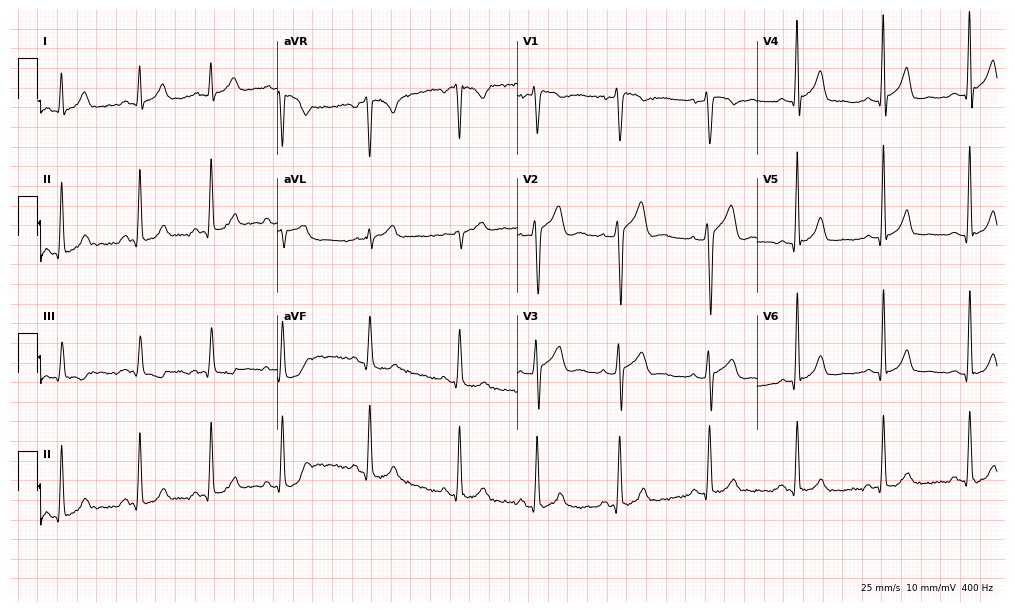
Standard 12-lead ECG recorded from a male, 37 years old (9.8-second recording at 400 Hz). Read as a normal ECG.